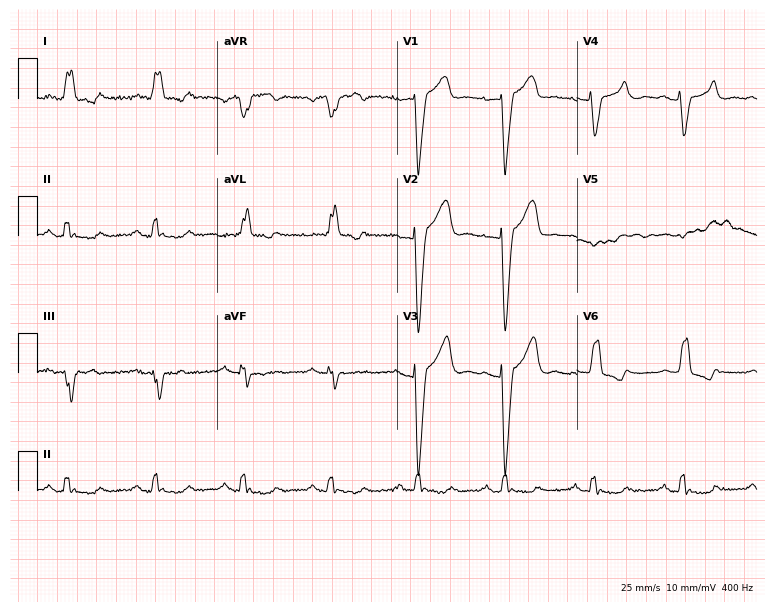
Electrocardiogram, an 82-year-old male patient. Interpretation includes left bundle branch block (LBBB).